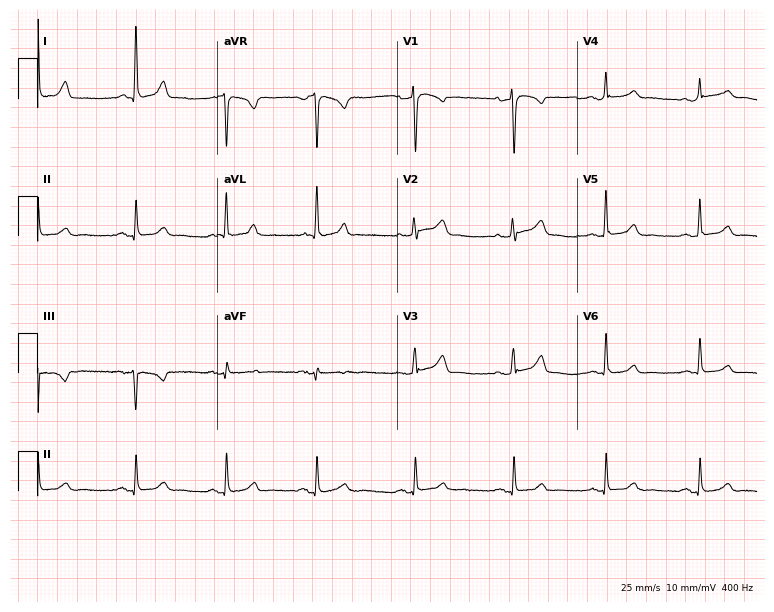
12-lead ECG from a woman, 79 years old. Screened for six findings — first-degree AV block, right bundle branch block, left bundle branch block, sinus bradycardia, atrial fibrillation, sinus tachycardia — none is recorded. Other findings, if any, are not listed.